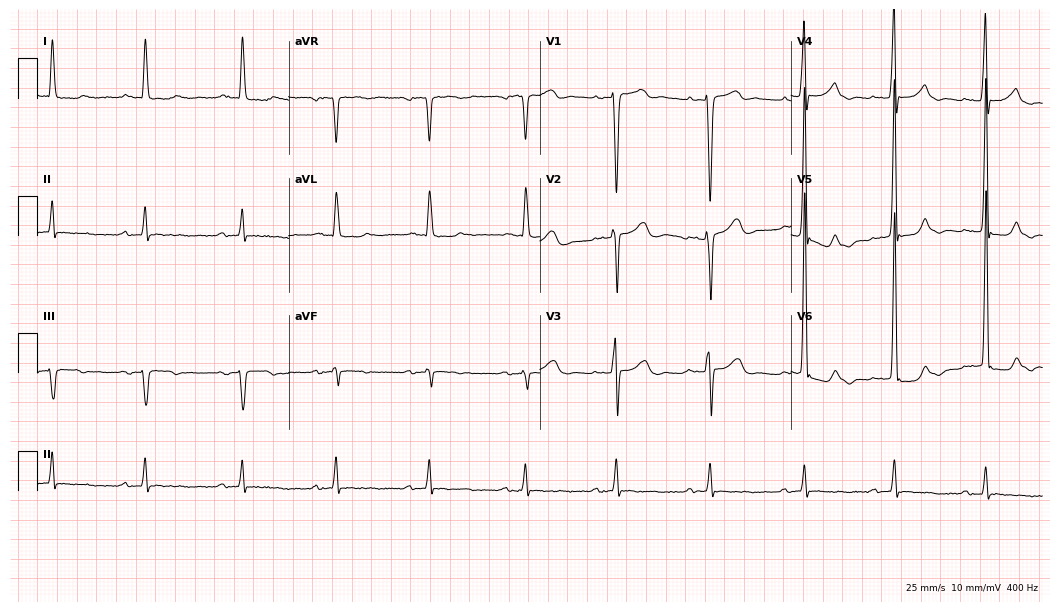
12-lead ECG from a man, 69 years old (10.2-second recording at 400 Hz). No first-degree AV block, right bundle branch block, left bundle branch block, sinus bradycardia, atrial fibrillation or sinus tachycardia recorded for this tracing.